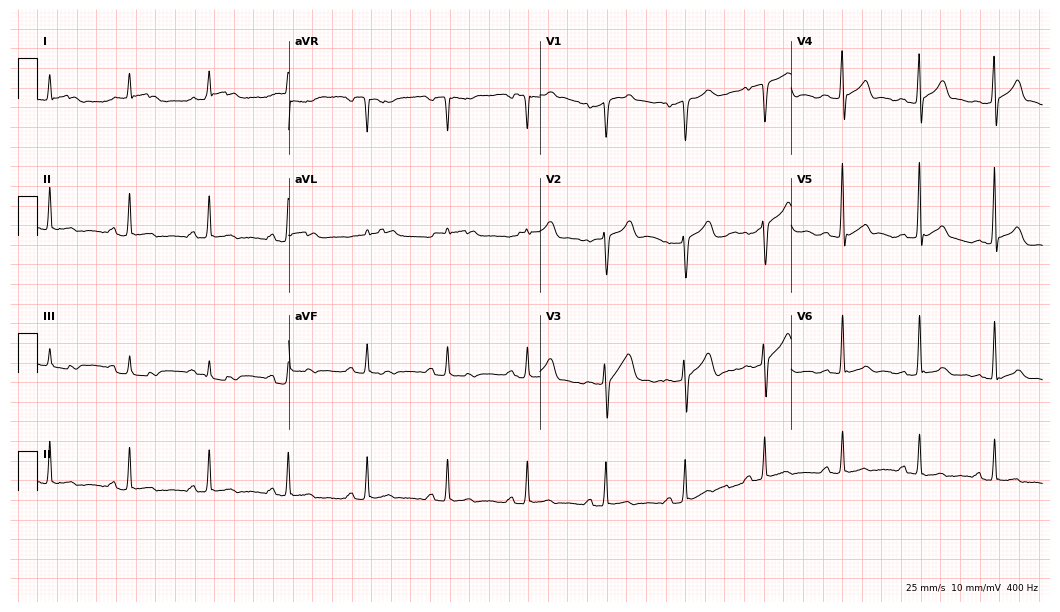
Electrocardiogram, a male patient, 57 years old. Of the six screened findings (first-degree AV block, right bundle branch block (RBBB), left bundle branch block (LBBB), sinus bradycardia, atrial fibrillation (AF), sinus tachycardia), none is recorded.